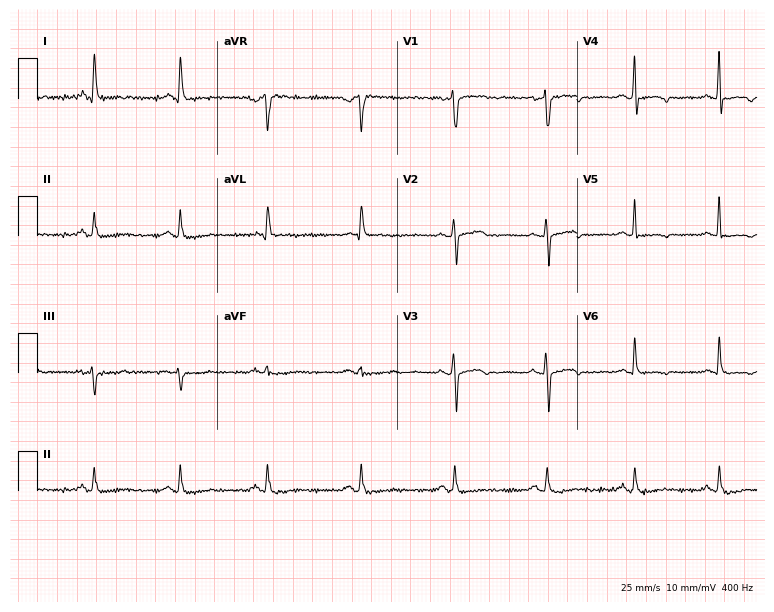
ECG — a 54-year-old female. Screened for six findings — first-degree AV block, right bundle branch block, left bundle branch block, sinus bradycardia, atrial fibrillation, sinus tachycardia — none is recorded.